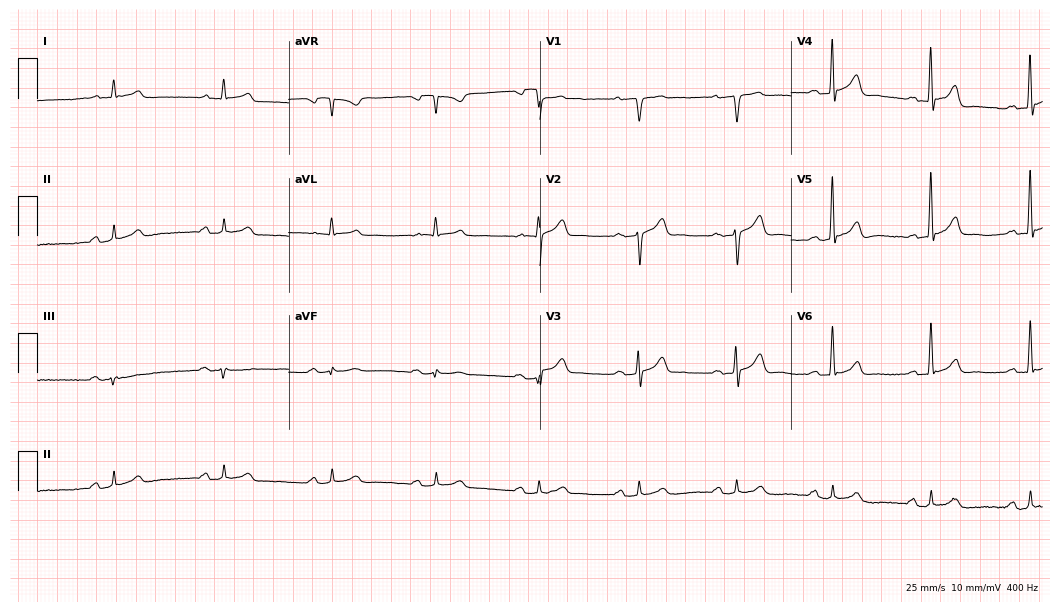
Resting 12-lead electrocardiogram (10.2-second recording at 400 Hz). Patient: a male, 63 years old. Read as a normal ECG.